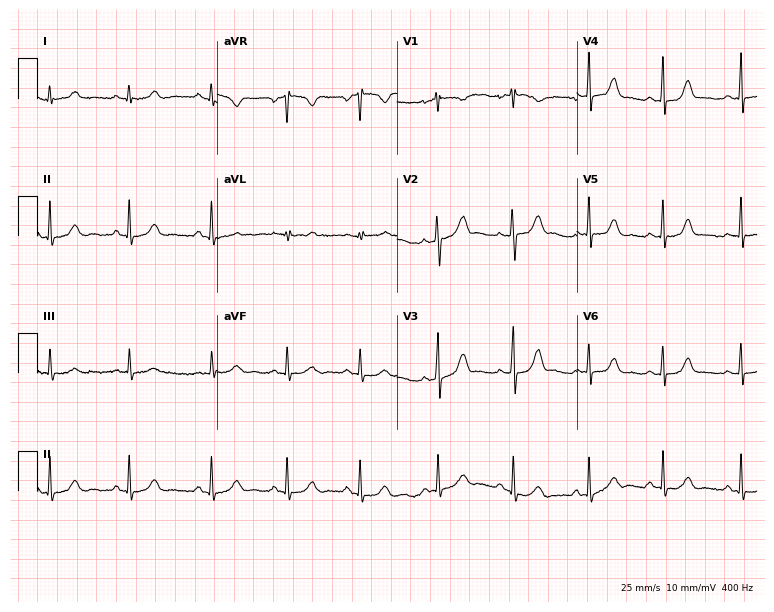
ECG (7.3-second recording at 400 Hz) — a 27-year-old woman. Labelled as a normal ECG.